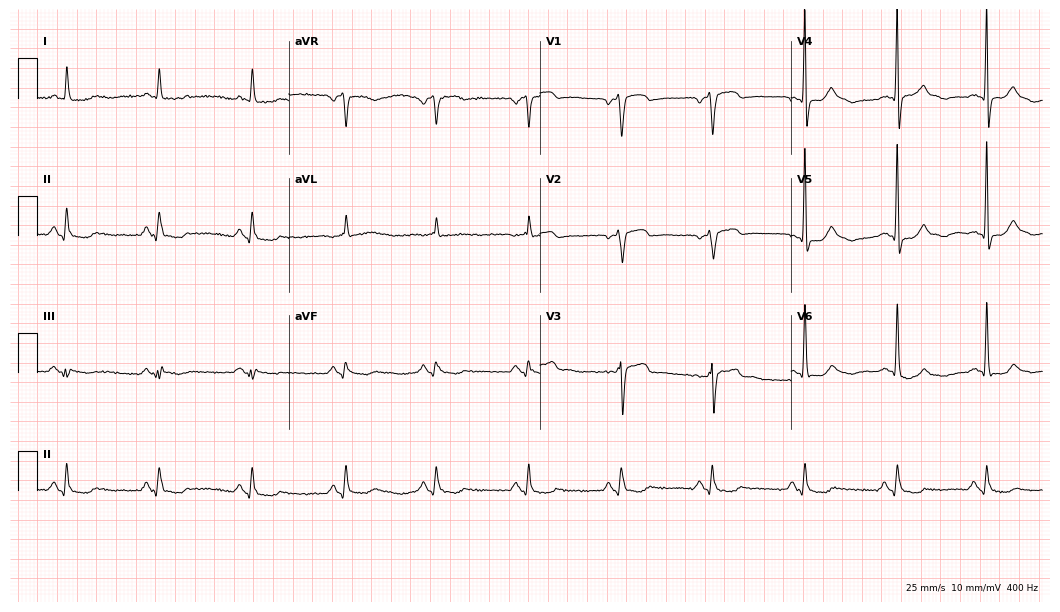
Electrocardiogram, a male, 75 years old. Of the six screened findings (first-degree AV block, right bundle branch block (RBBB), left bundle branch block (LBBB), sinus bradycardia, atrial fibrillation (AF), sinus tachycardia), none is recorded.